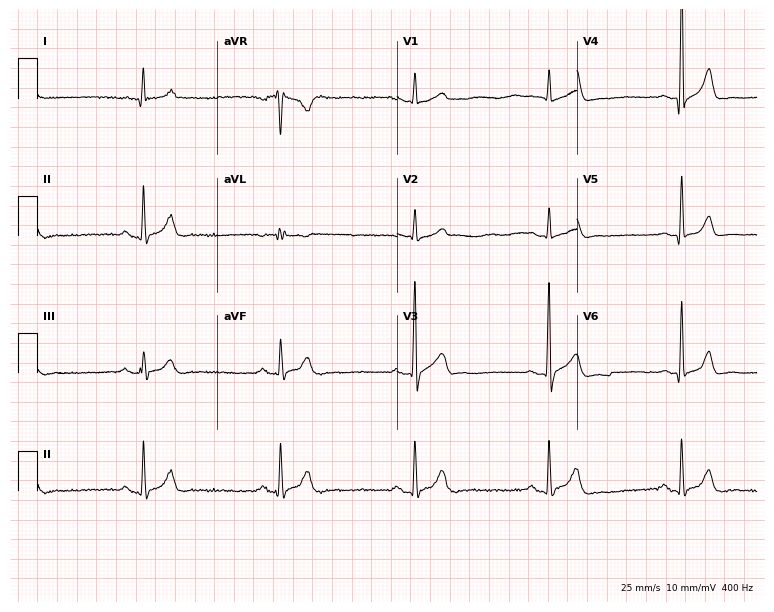
Resting 12-lead electrocardiogram (7.3-second recording at 400 Hz). Patient: a man, 35 years old. None of these six findings is recorded: first-degree AV block, right bundle branch block, left bundle branch block, sinus bradycardia, atrial fibrillation, sinus tachycardia. Only these six findings were labelled.